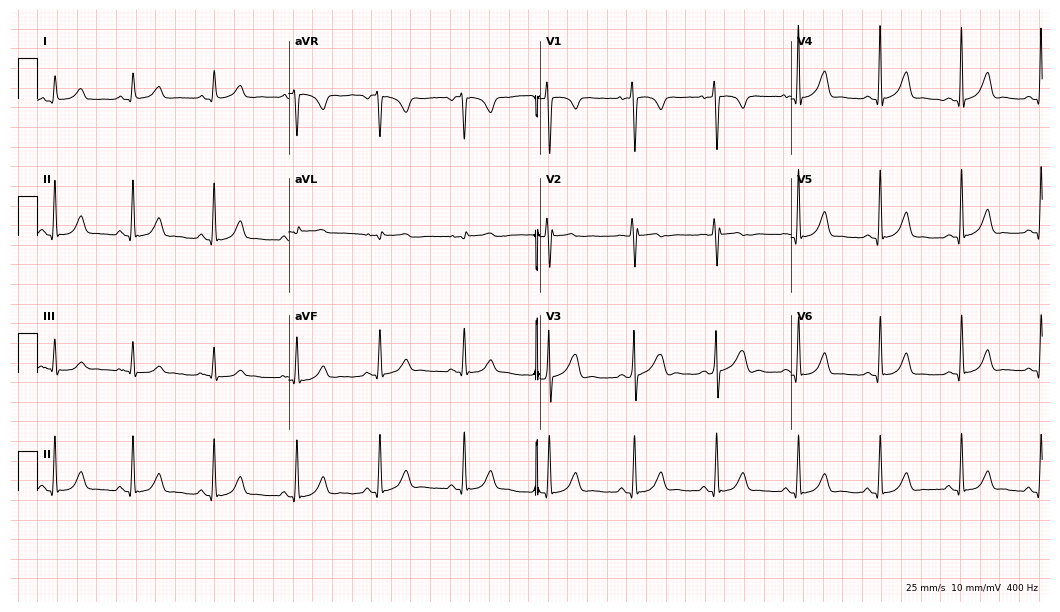
12-lead ECG (10.2-second recording at 400 Hz) from a 23-year-old male. Labelled as a normal ECG.